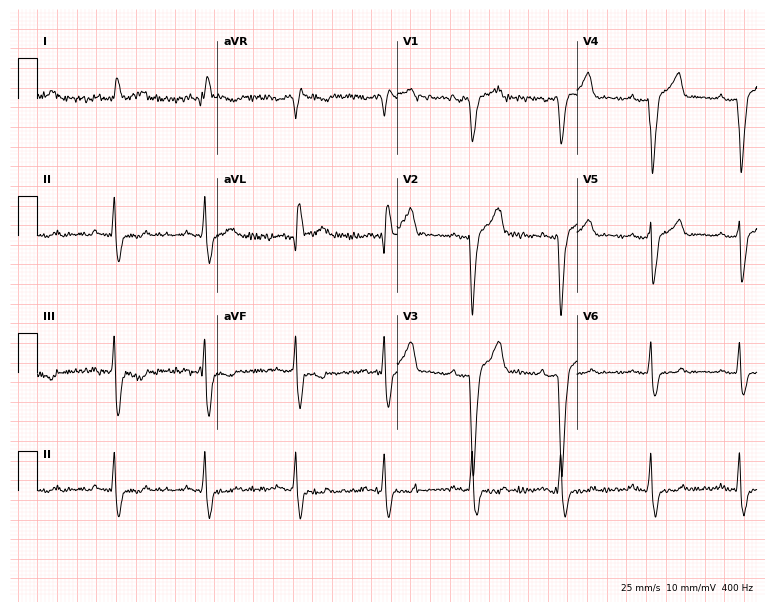
12-lead ECG (7.3-second recording at 400 Hz) from a man, 69 years old. Screened for six findings — first-degree AV block, right bundle branch block, left bundle branch block, sinus bradycardia, atrial fibrillation, sinus tachycardia — none is recorded.